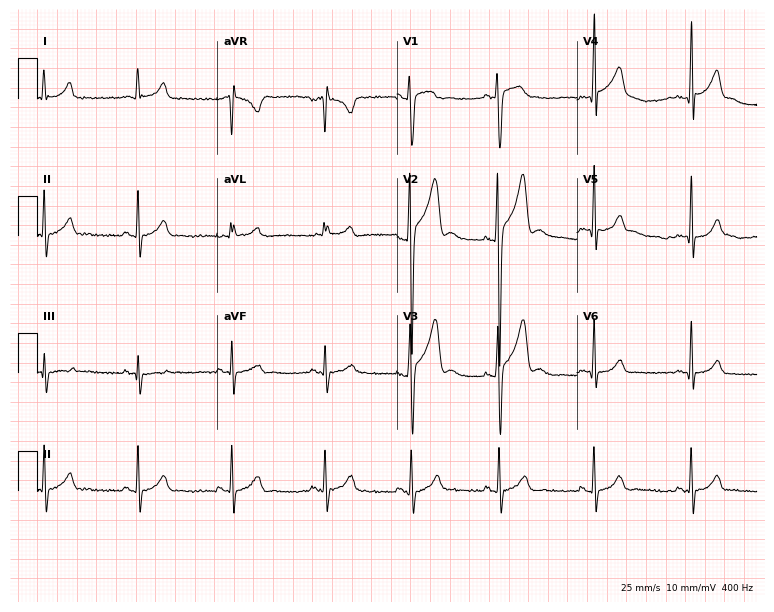
12-lead ECG from an 18-year-old male patient. Screened for six findings — first-degree AV block, right bundle branch block, left bundle branch block, sinus bradycardia, atrial fibrillation, sinus tachycardia — none is recorded. Only these six findings were labelled.